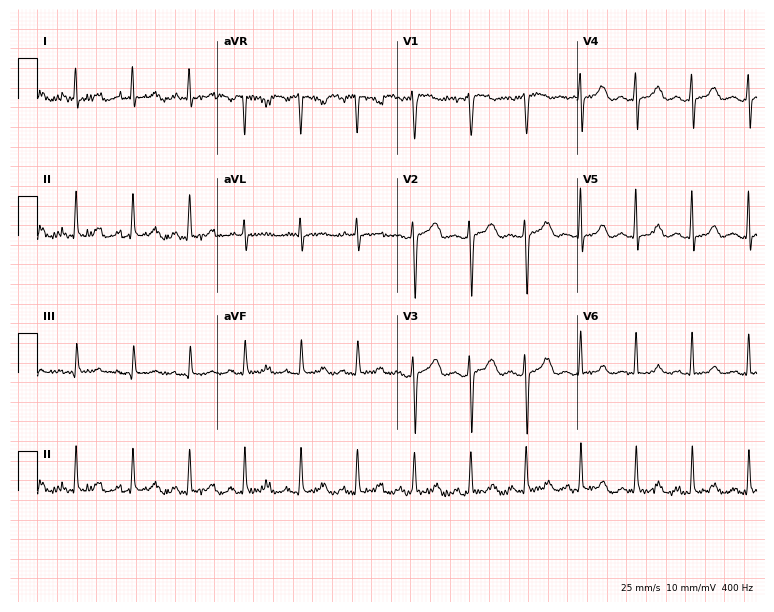
12-lead ECG from a 31-year-old female. Shows sinus tachycardia (a sinus rate of 100 beats per minute or more).